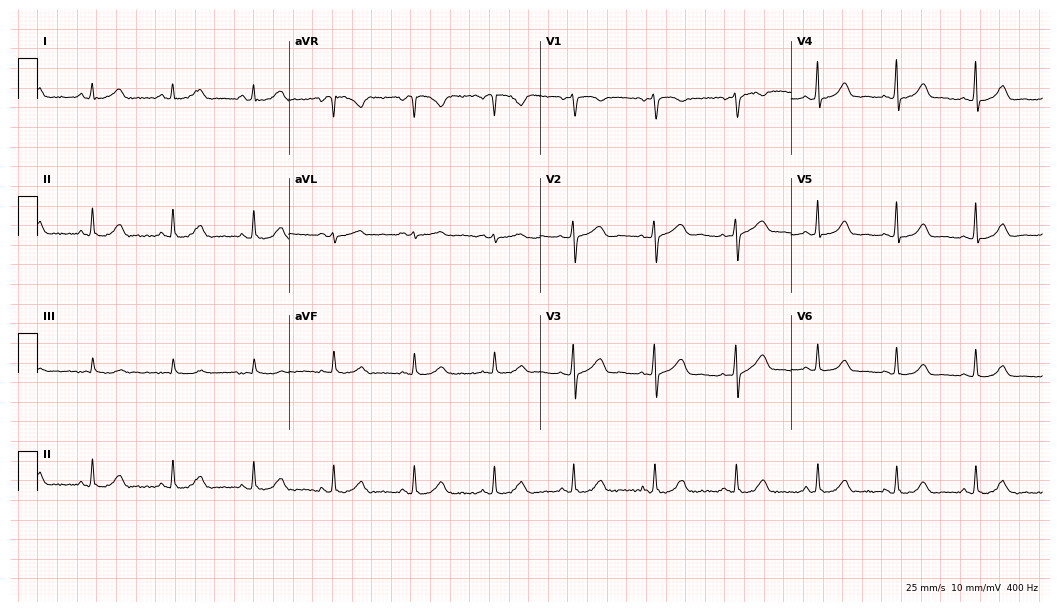
Resting 12-lead electrocardiogram (10.2-second recording at 400 Hz). Patient: a 60-year-old female. Read as a normal ECG.